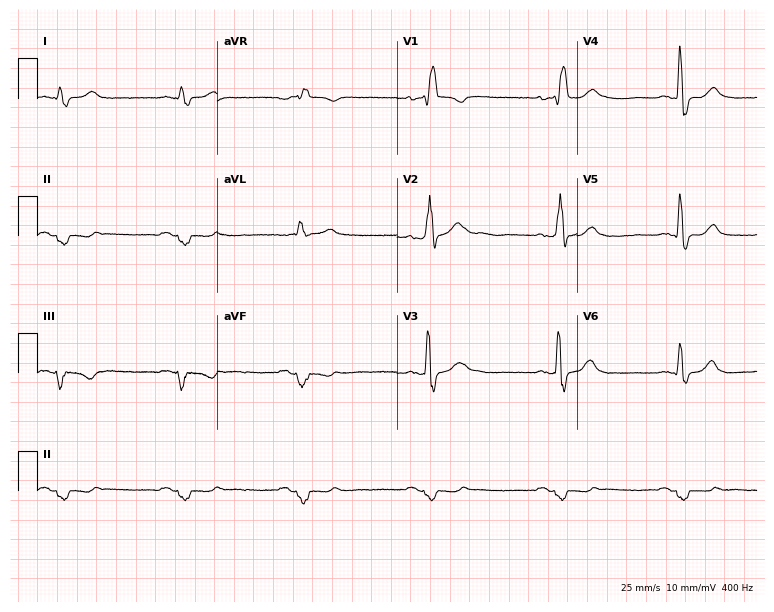
12-lead ECG from a 54-year-old male. Findings include right bundle branch block (RBBB), sinus bradycardia (a sinus rate of 50 beats per minute or less).